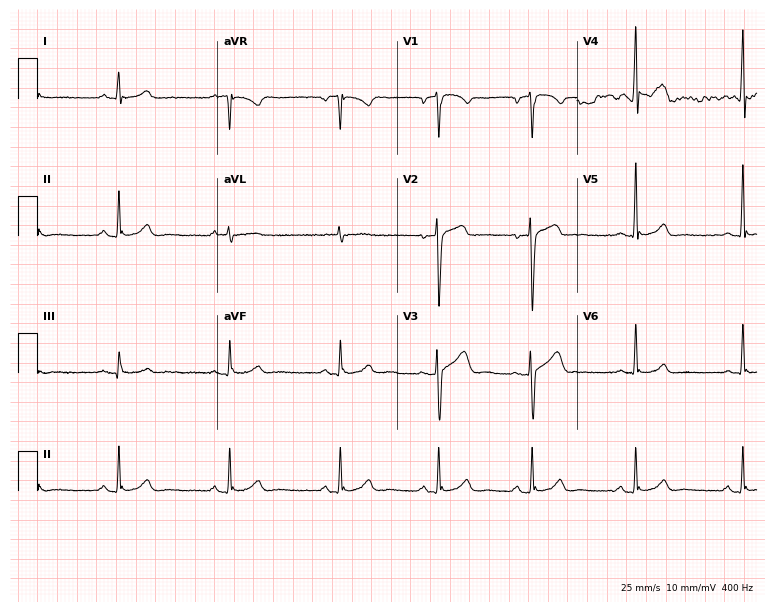
Resting 12-lead electrocardiogram. Patient: a man, 44 years old. Read as a normal ECG.